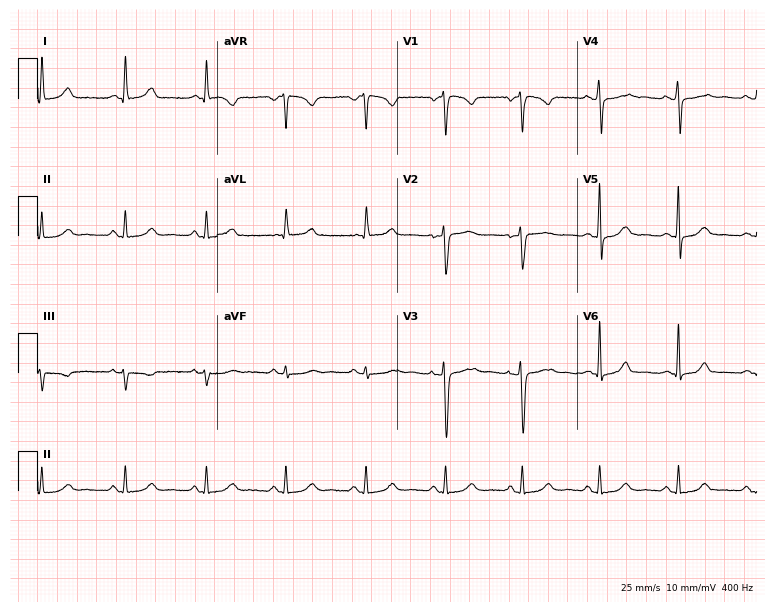
12-lead ECG (7.3-second recording at 400 Hz) from a woman, 38 years old. Labelled as a normal ECG.